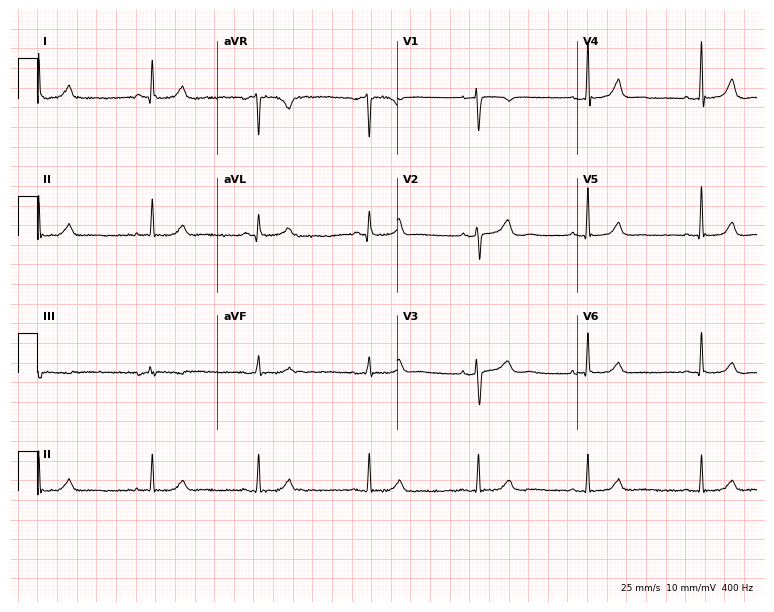
12-lead ECG (7.3-second recording at 400 Hz) from a 62-year-old female patient. Screened for six findings — first-degree AV block, right bundle branch block (RBBB), left bundle branch block (LBBB), sinus bradycardia, atrial fibrillation (AF), sinus tachycardia — none is recorded.